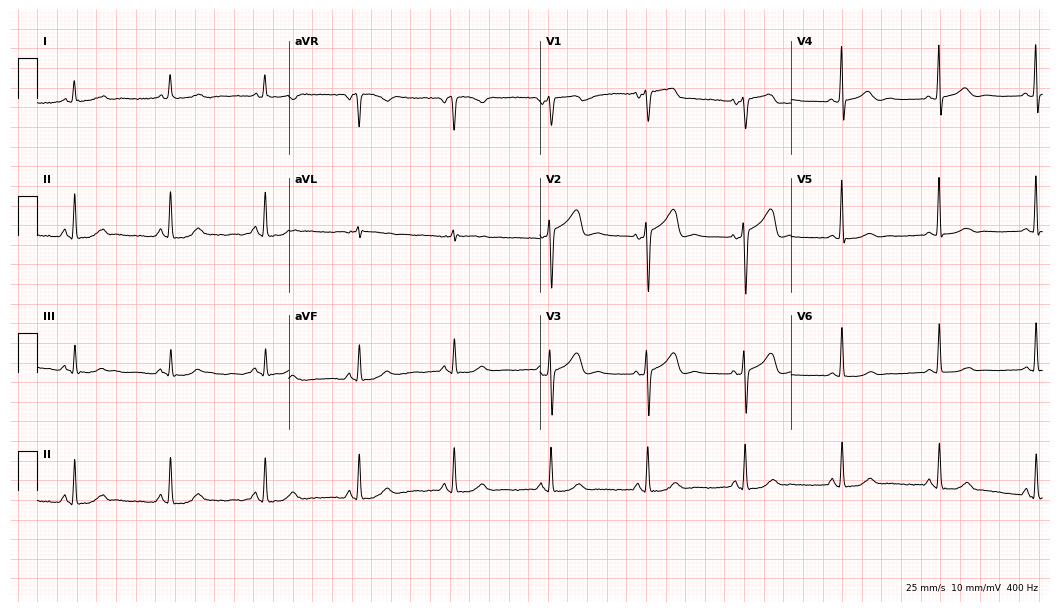
Electrocardiogram (10.2-second recording at 400 Hz), a man, 63 years old. Overall reading on record: normal ECG.